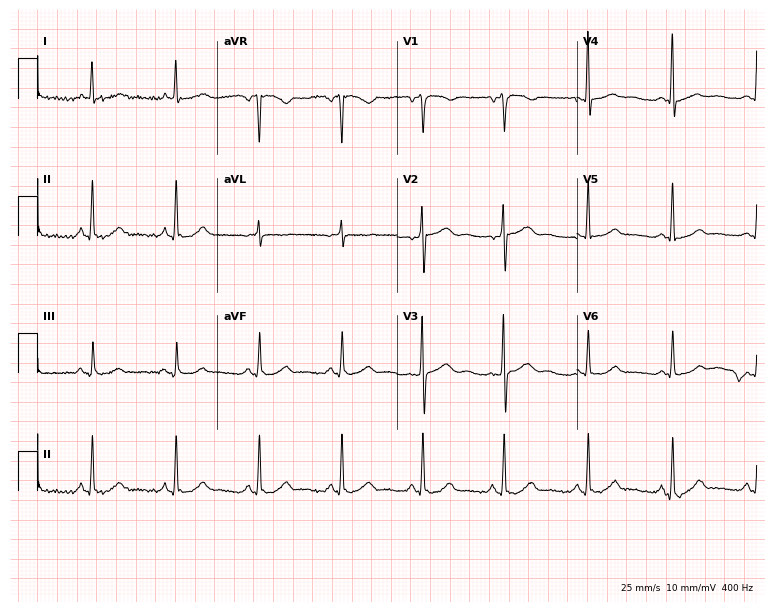
ECG — a woman, 47 years old. Labelled as a normal ECG.